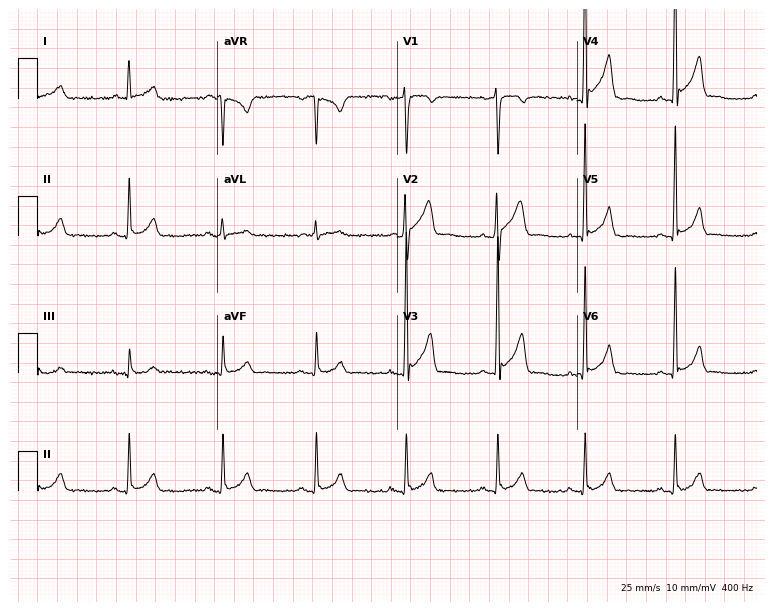
12-lead ECG from a male, 51 years old. Labelled as a normal ECG.